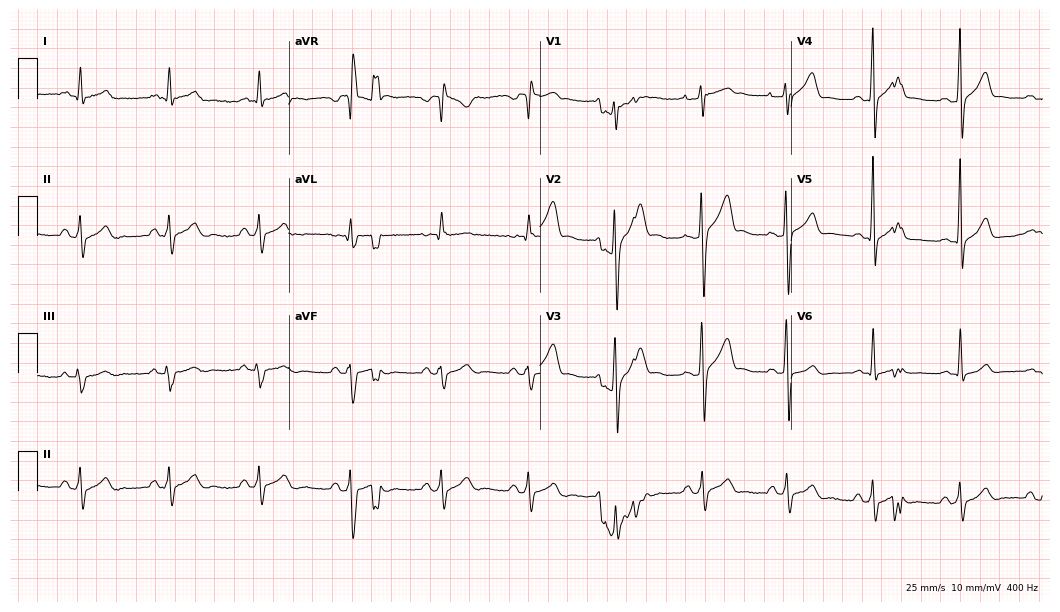
Standard 12-lead ECG recorded from a 22-year-old man. Read as a normal ECG.